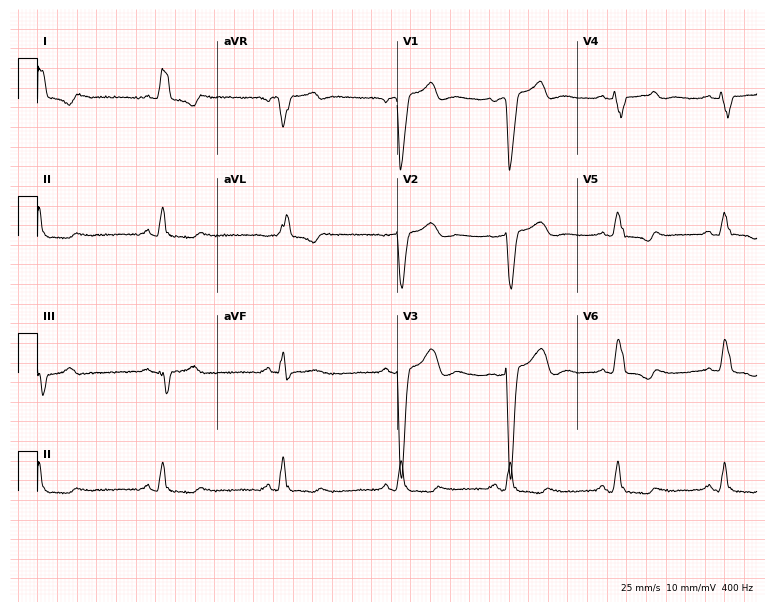
12-lead ECG from a 78-year-old male patient. Findings include left bundle branch block.